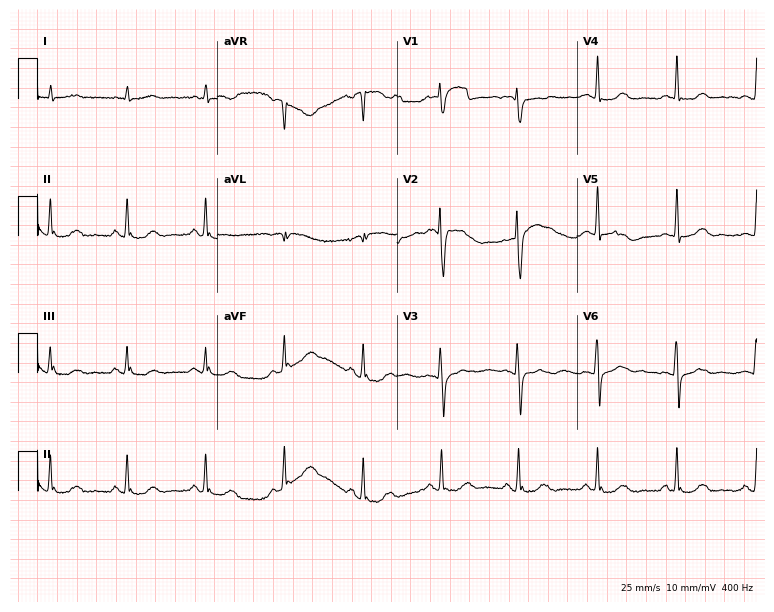
Standard 12-lead ECG recorded from a 54-year-old female (7.3-second recording at 400 Hz). Read as a normal ECG.